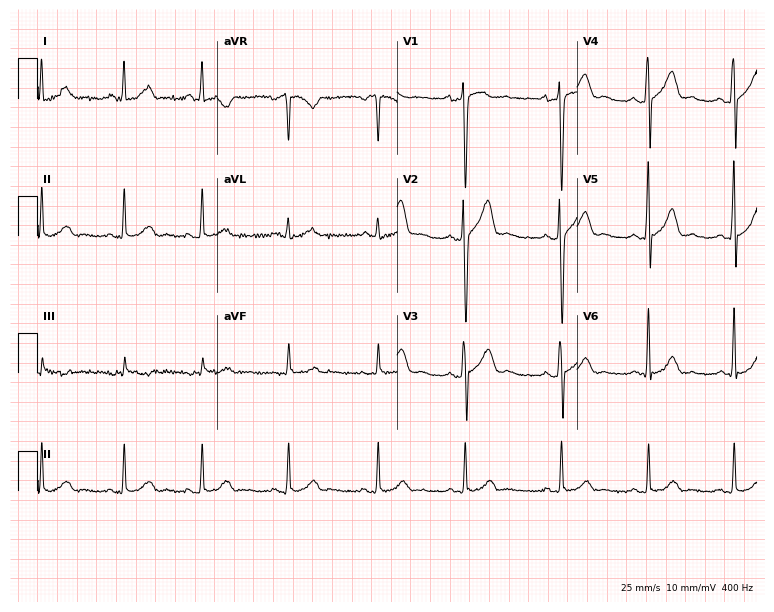
12-lead ECG (7.3-second recording at 400 Hz) from a 28-year-old male. Labelled as a normal ECG.